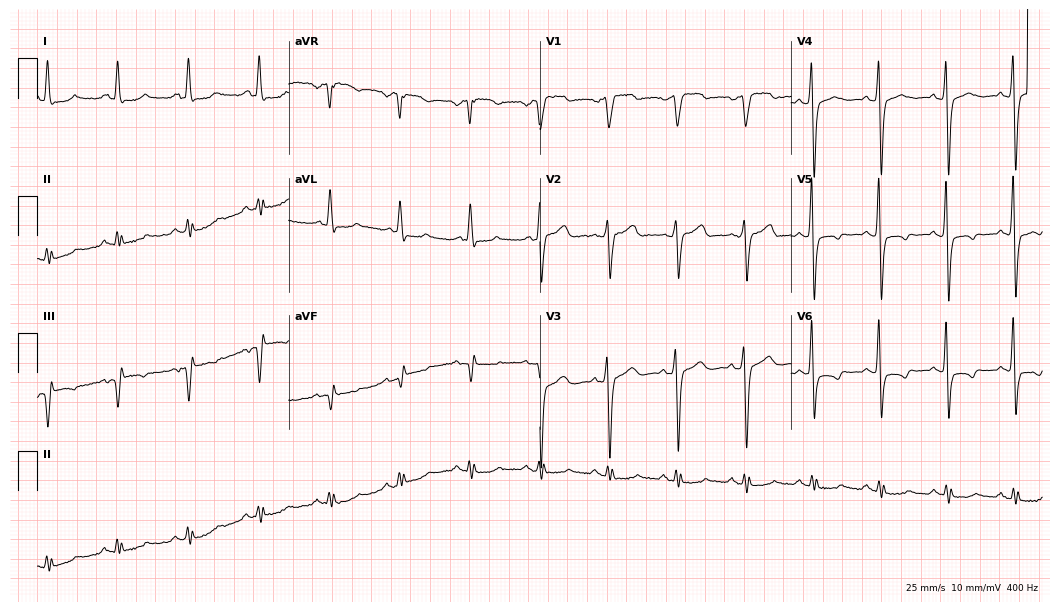
Resting 12-lead electrocardiogram (10.2-second recording at 400 Hz). Patient: a 51-year-old male. None of these six findings is recorded: first-degree AV block, right bundle branch block, left bundle branch block, sinus bradycardia, atrial fibrillation, sinus tachycardia. Findings outside these six are not listed.